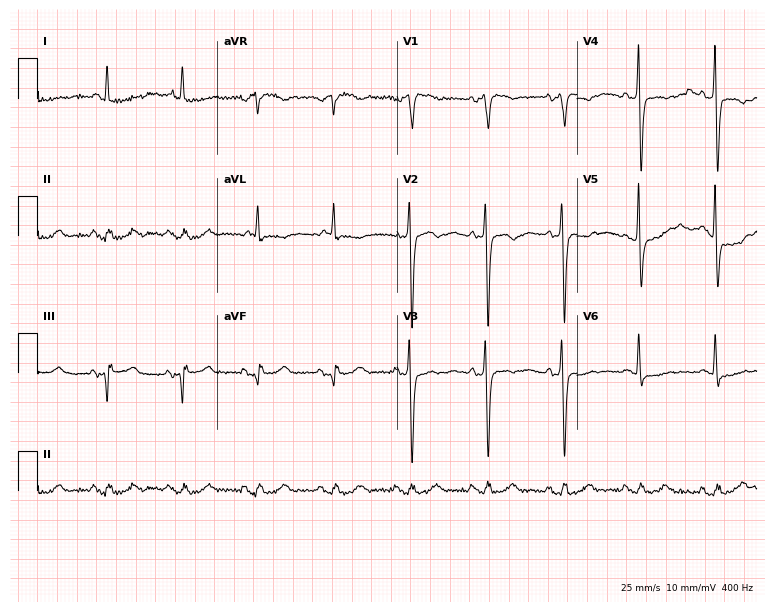
Resting 12-lead electrocardiogram (7.3-second recording at 400 Hz). Patient: a male, 80 years old. None of these six findings is recorded: first-degree AV block, right bundle branch block, left bundle branch block, sinus bradycardia, atrial fibrillation, sinus tachycardia.